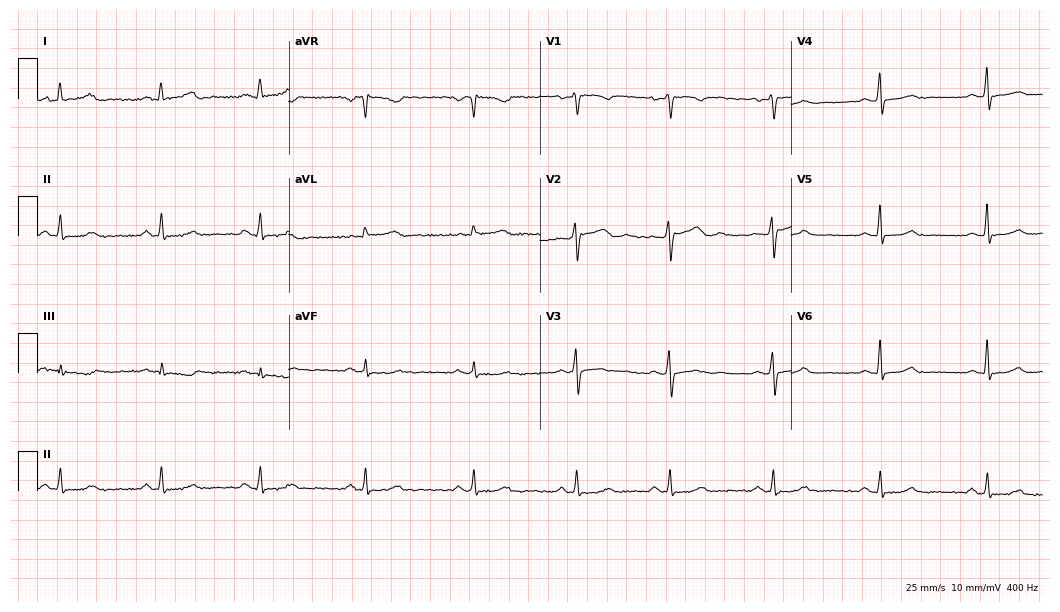
ECG (10.2-second recording at 400 Hz) — a 36-year-old female. Screened for six findings — first-degree AV block, right bundle branch block, left bundle branch block, sinus bradycardia, atrial fibrillation, sinus tachycardia — none is recorded. Findings outside these six are not listed.